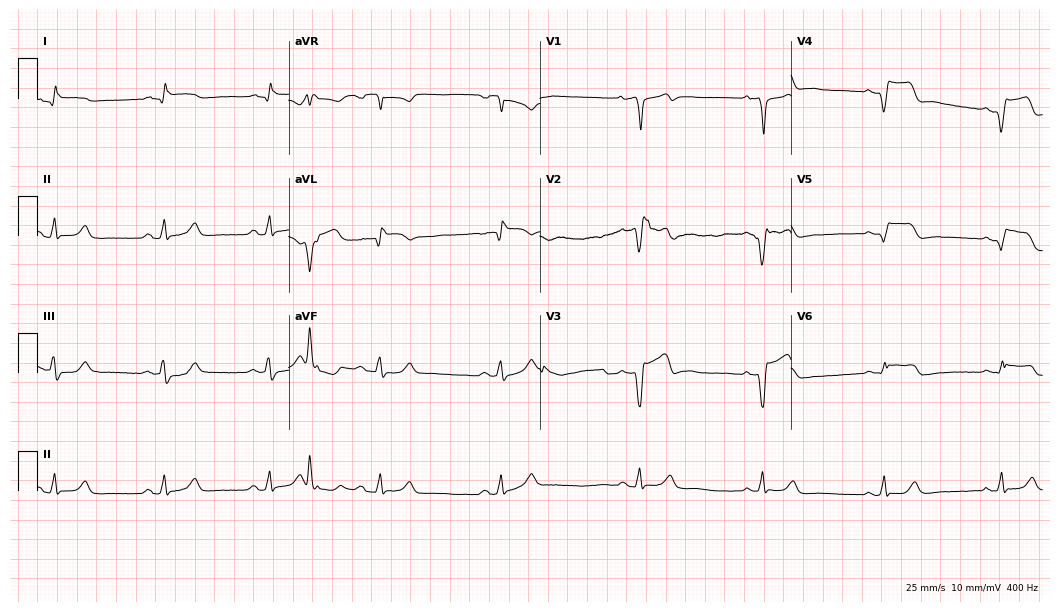
Resting 12-lead electrocardiogram. Patient: a 73-year-old male. None of these six findings is recorded: first-degree AV block, right bundle branch block, left bundle branch block, sinus bradycardia, atrial fibrillation, sinus tachycardia. Other findings, if any, are not listed.